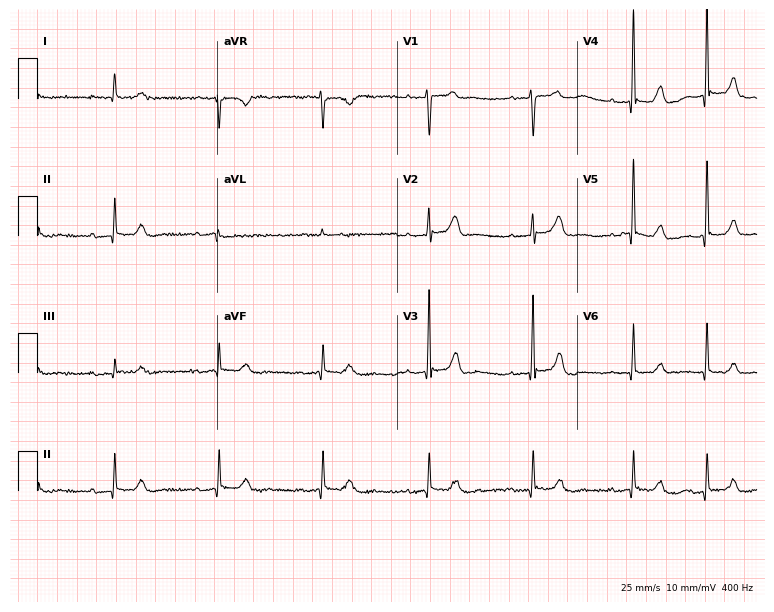
12-lead ECG from an 85-year-old male. Screened for six findings — first-degree AV block, right bundle branch block, left bundle branch block, sinus bradycardia, atrial fibrillation, sinus tachycardia — none is recorded. Findings outside these six are not listed.